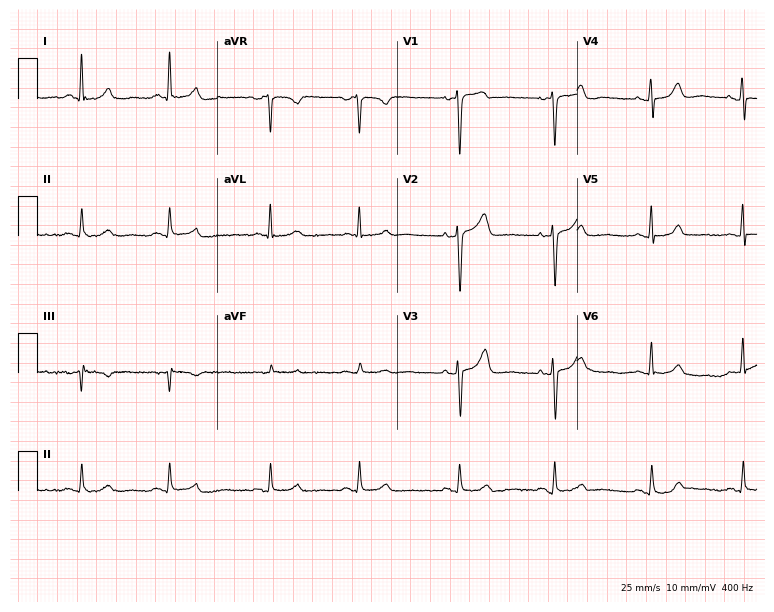
12-lead ECG (7.3-second recording at 400 Hz) from a female, 55 years old. Labelled as a normal ECG.